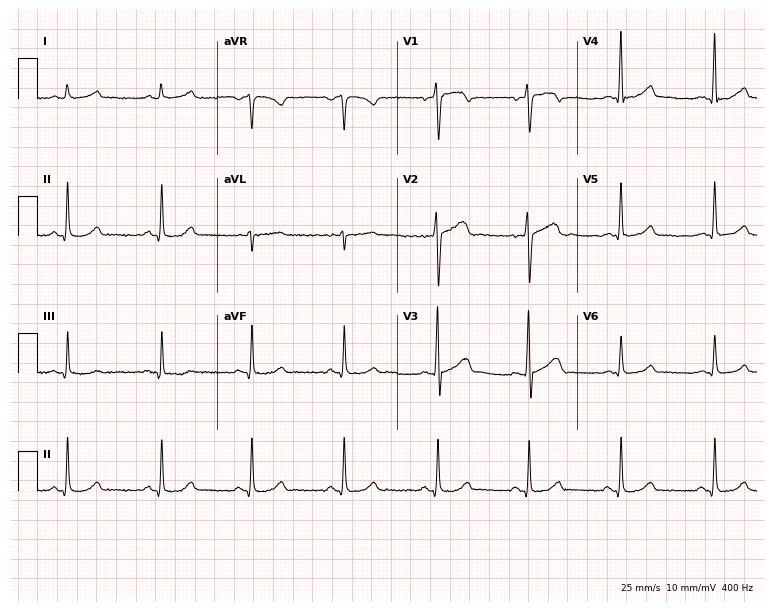
ECG — a male, 39 years old. Labelled as a normal ECG.